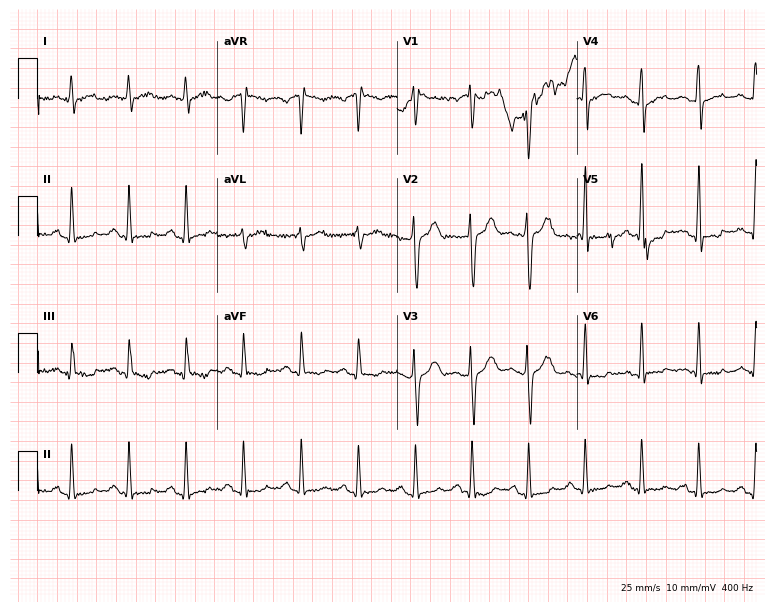
Standard 12-lead ECG recorded from a 38-year-old male patient. None of these six findings is recorded: first-degree AV block, right bundle branch block, left bundle branch block, sinus bradycardia, atrial fibrillation, sinus tachycardia.